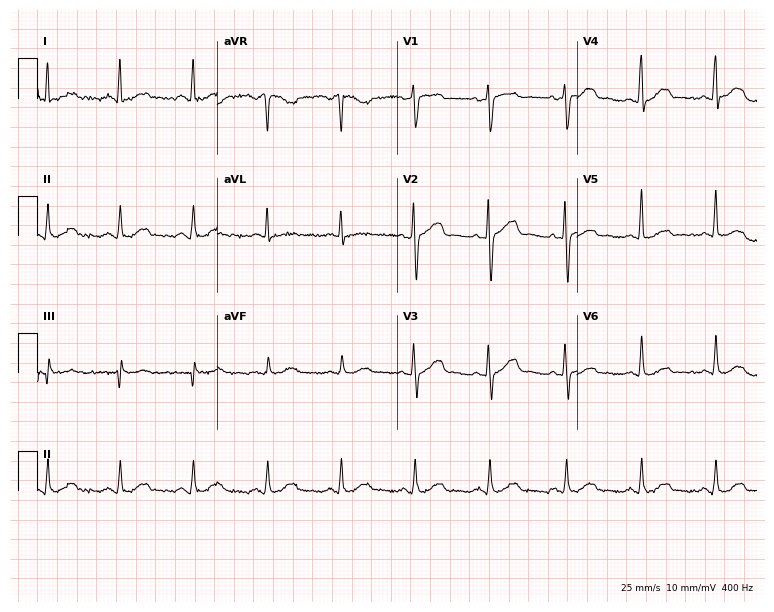
ECG (7.3-second recording at 400 Hz) — a woman, 62 years old. Labelled as a normal ECG.